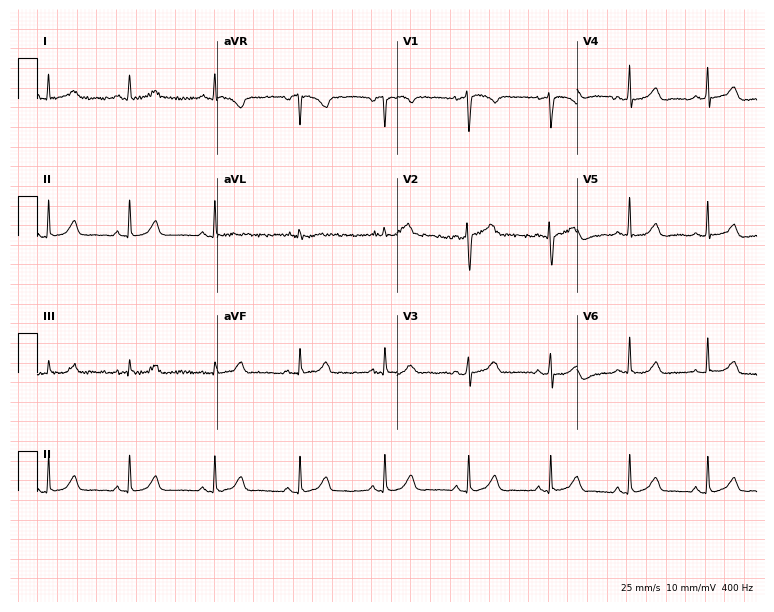
12-lead ECG (7.3-second recording at 400 Hz) from a 43-year-old female patient. Labelled as a normal ECG.